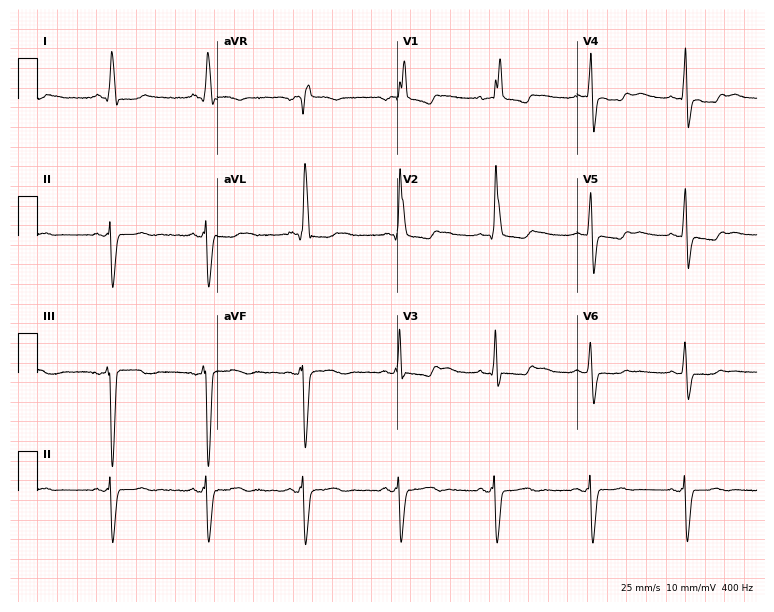
ECG — a female patient, 63 years old. Findings include right bundle branch block (RBBB).